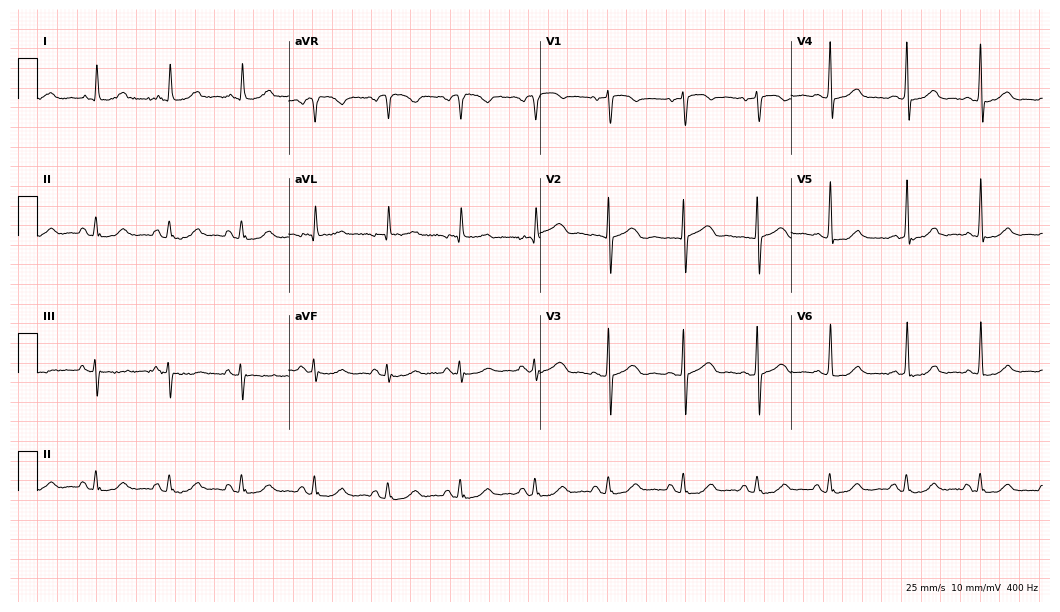
Resting 12-lead electrocardiogram. Patient: a male, 75 years old. None of these six findings is recorded: first-degree AV block, right bundle branch block (RBBB), left bundle branch block (LBBB), sinus bradycardia, atrial fibrillation (AF), sinus tachycardia. Only these six findings were labelled.